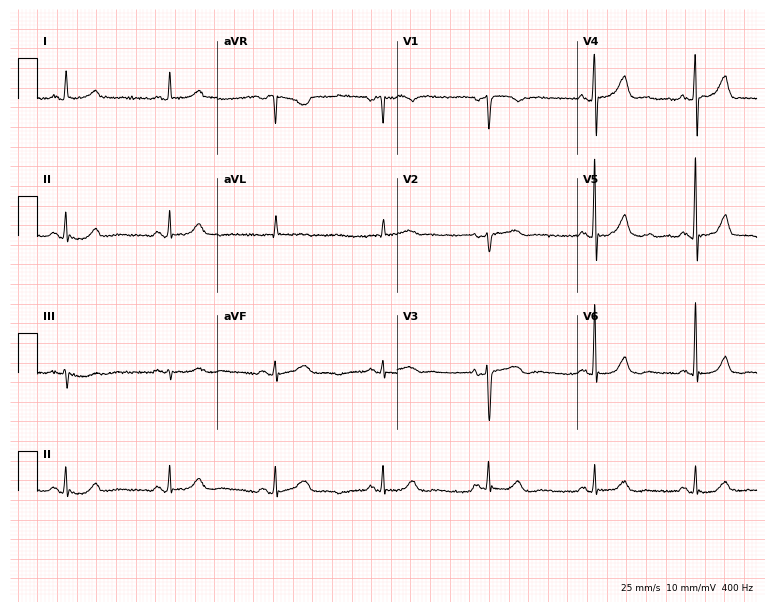
12-lead ECG (7.3-second recording at 400 Hz) from a 69-year-old female. Labelled as a normal ECG.